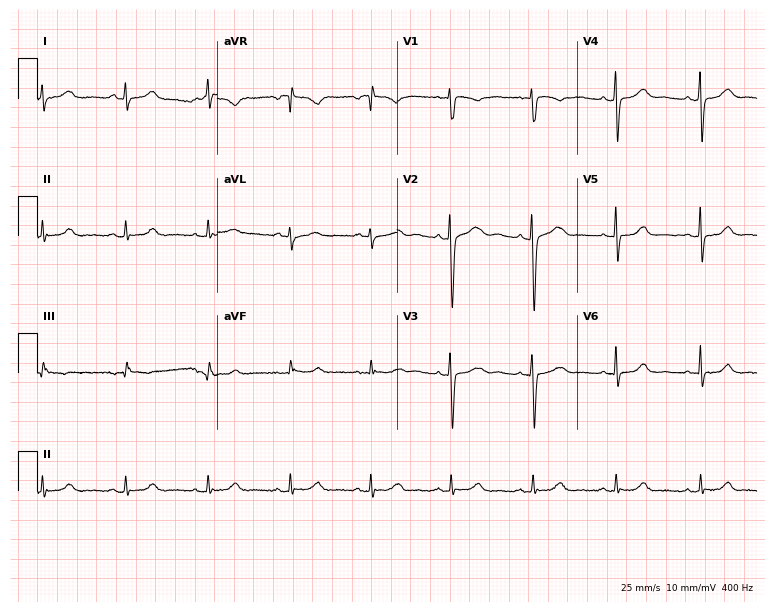
Standard 12-lead ECG recorded from a female patient, 40 years old (7.3-second recording at 400 Hz). Read as a normal ECG.